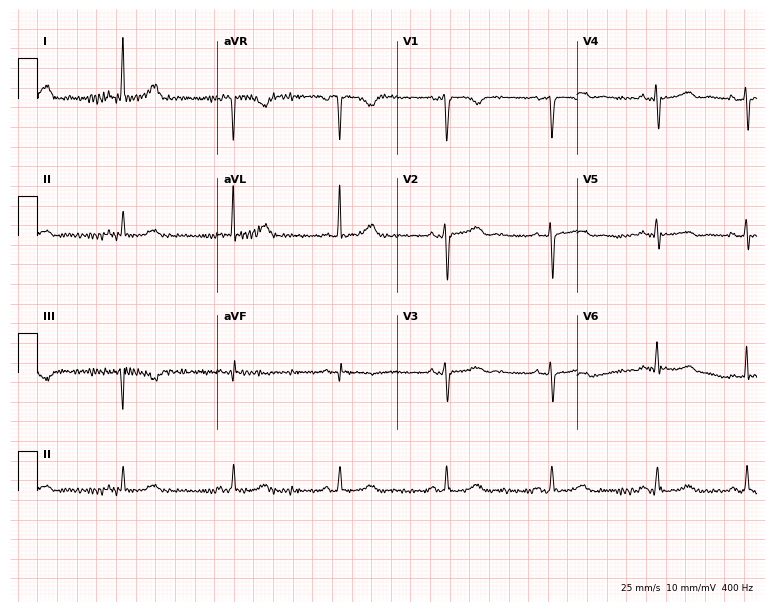
Electrocardiogram, a 61-year-old woman. Overall reading on record: normal ECG.